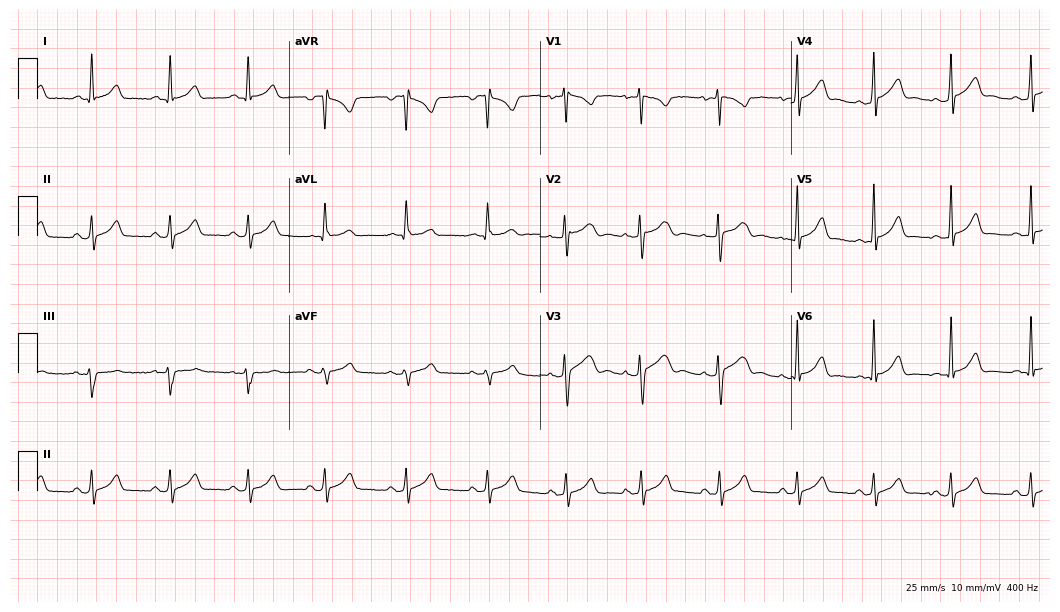
Electrocardiogram (10.2-second recording at 400 Hz), a woman, 18 years old. Of the six screened findings (first-degree AV block, right bundle branch block, left bundle branch block, sinus bradycardia, atrial fibrillation, sinus tachycardia), none is recorded. Findings outside these six are not listed.